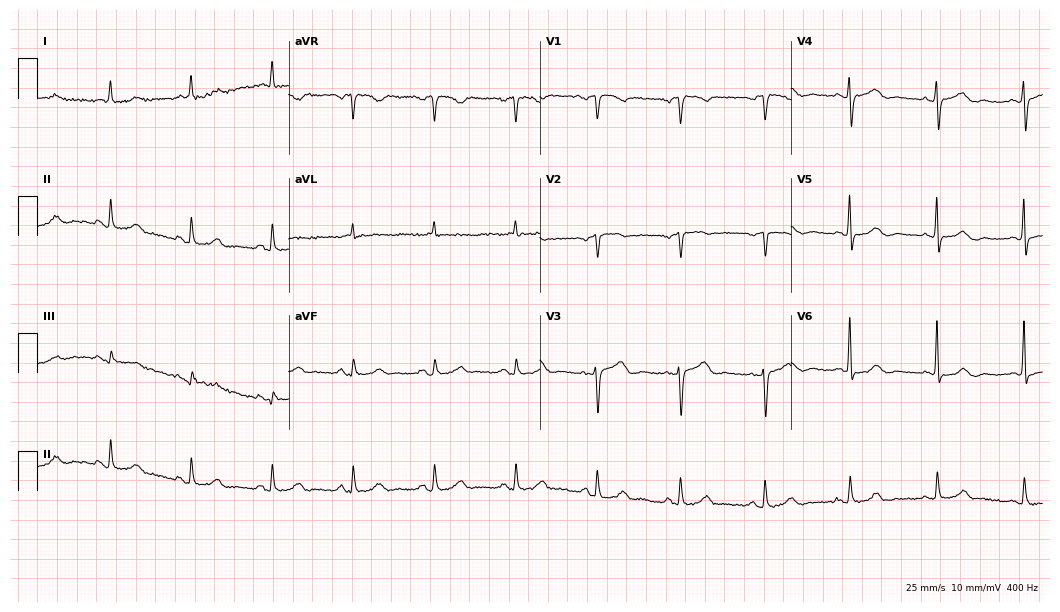
12-lead ECG from a 77-year-old female patient. Labelled as a normal ECG.